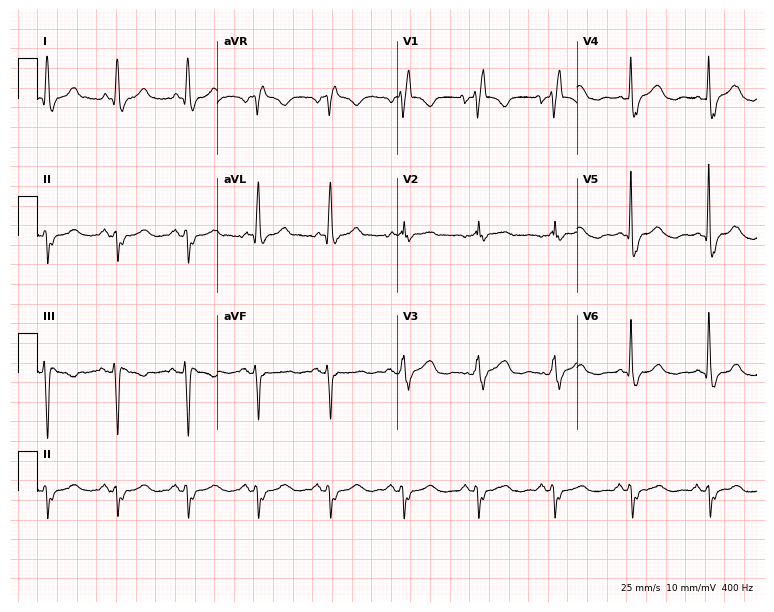
Standard 12-lead ECG recorded from a 58-year-old man (7.3-second recording at 400 Hz). None of these six findings is recorded: first-degree AV block, right bundle branch block (RBBB), left bundle branch block (LBBB), sinus bradycardia, atrial fibrillation (AF), sinus tachycardia.